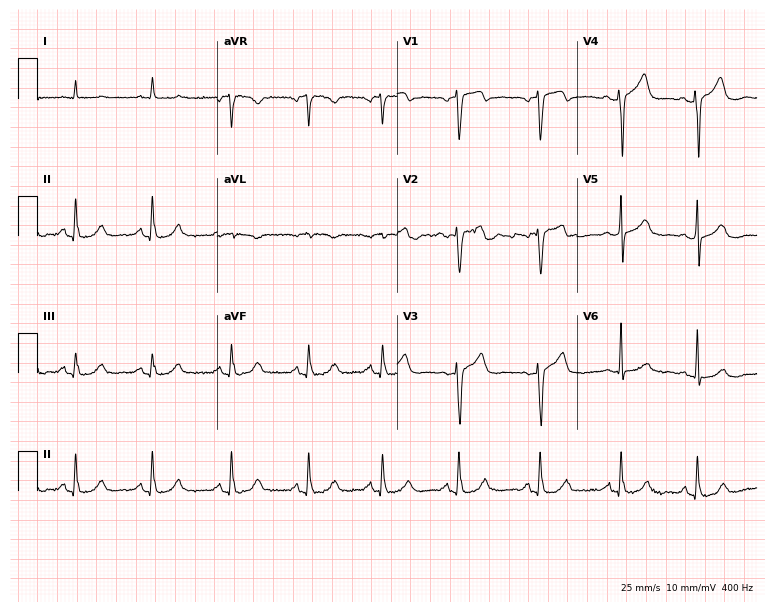
12-lead ECG (7.3-second recording at 400 Hz) from a 56-year-old male patient. Labelled as a normal ECG.